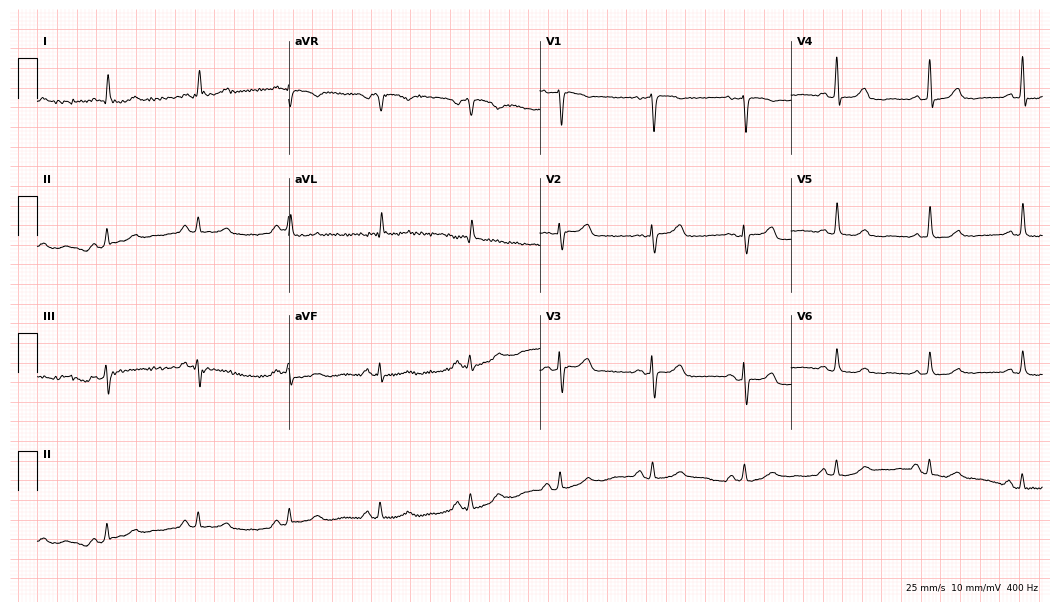
Resting 12-lead electrocardiogram. Patient: a woman, 80 years old. Read as a normal ECG.